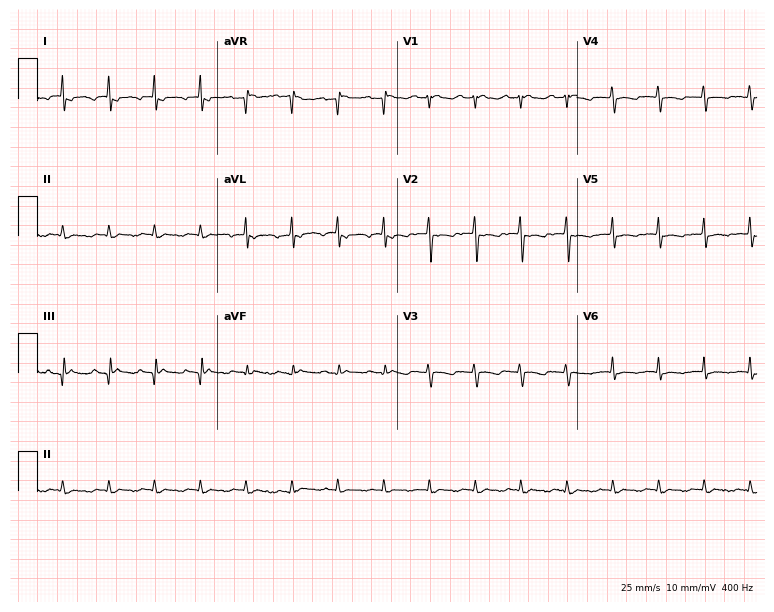
12-lead ECG from a female, 38 years old. No first-degree AV block, right bundle branch block, left bundle branch block, sinus bradycardia, atrial fibrillation or sinus tachycardia recorded for this tracing. Other findings, if any, are not listed.